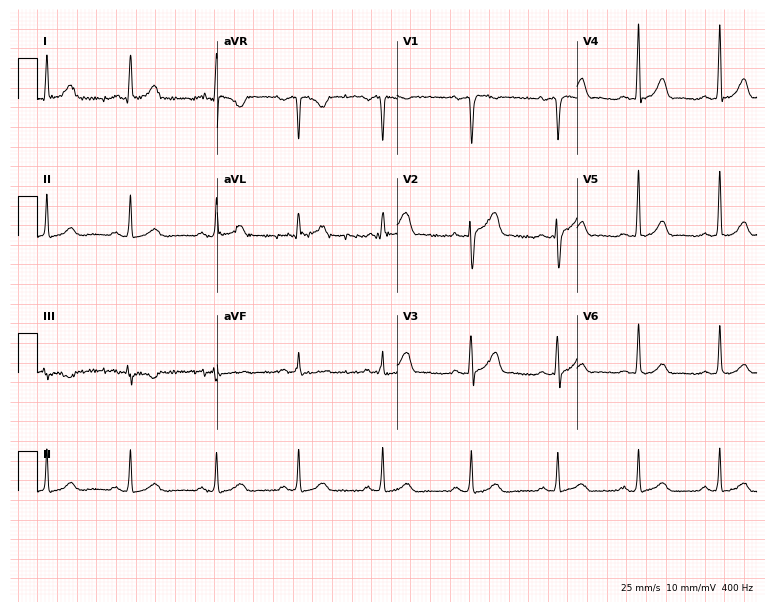
12-lead ECG (7.3-second recording at 400 Hz) from a man, 51 years old. Labelled as a normal ECG.